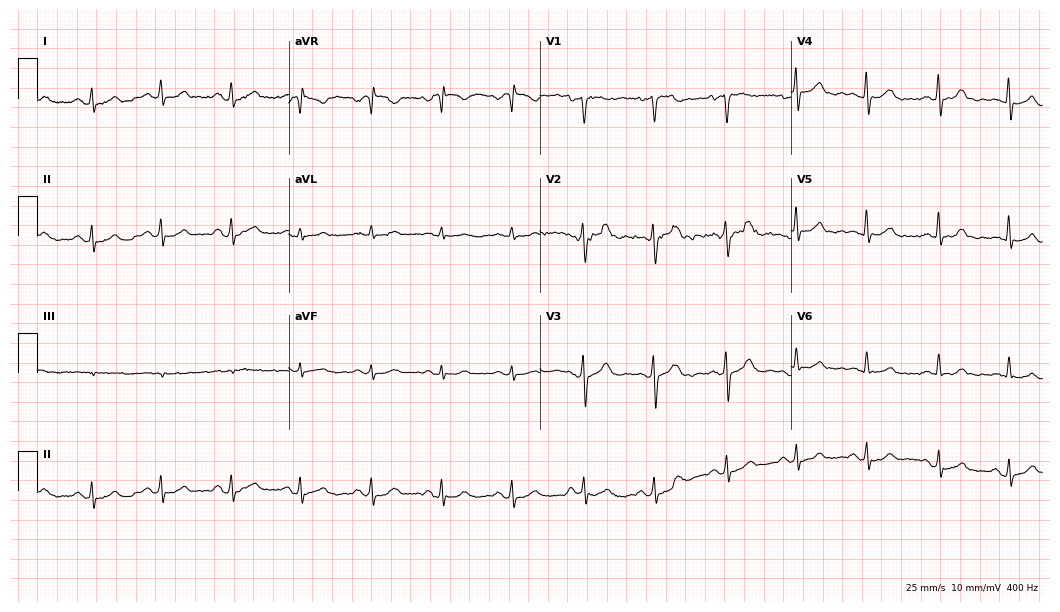
Resting 12-lead electrocardiogram. Patient: a 38-year-old female. Read as a normal ECG.